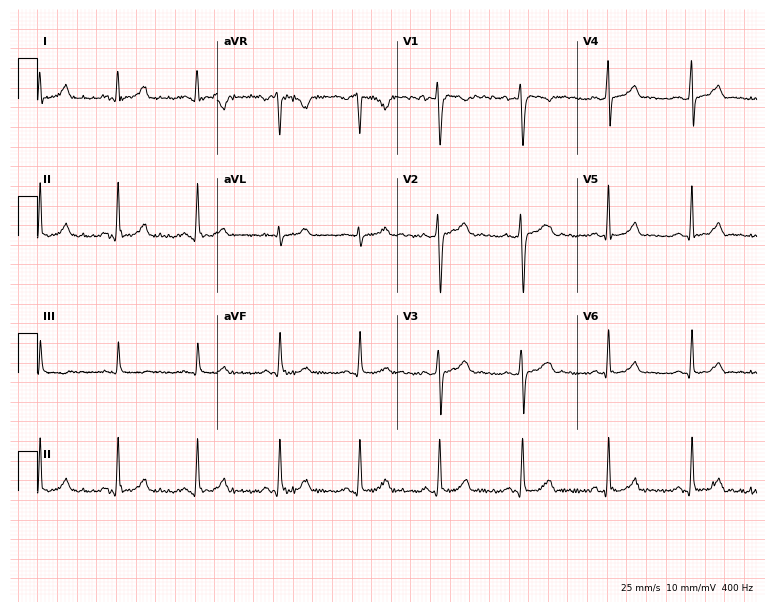
Standard 12-lead ECG recorded from a 25-year-old woman. Read as a normal ECG.